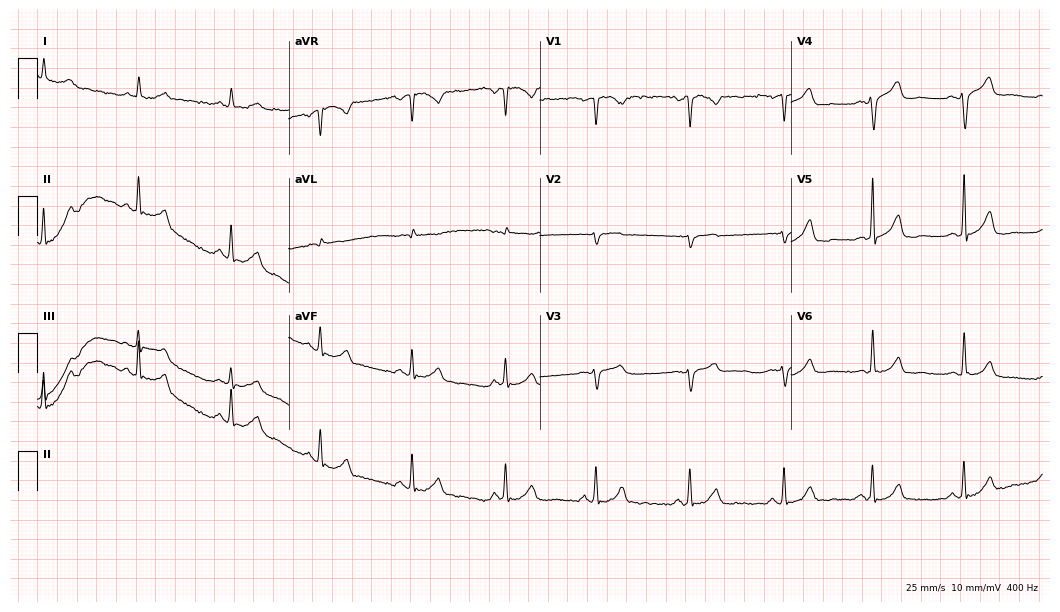
12-lead ECG from a 67-year-old male. No first-degree AV block, right bundle branch block, left bundle branch block, sinus bradycardia, atrial fibrillation or sinus tachycardia recorded for this tracing. Findings outside these six are not listed.